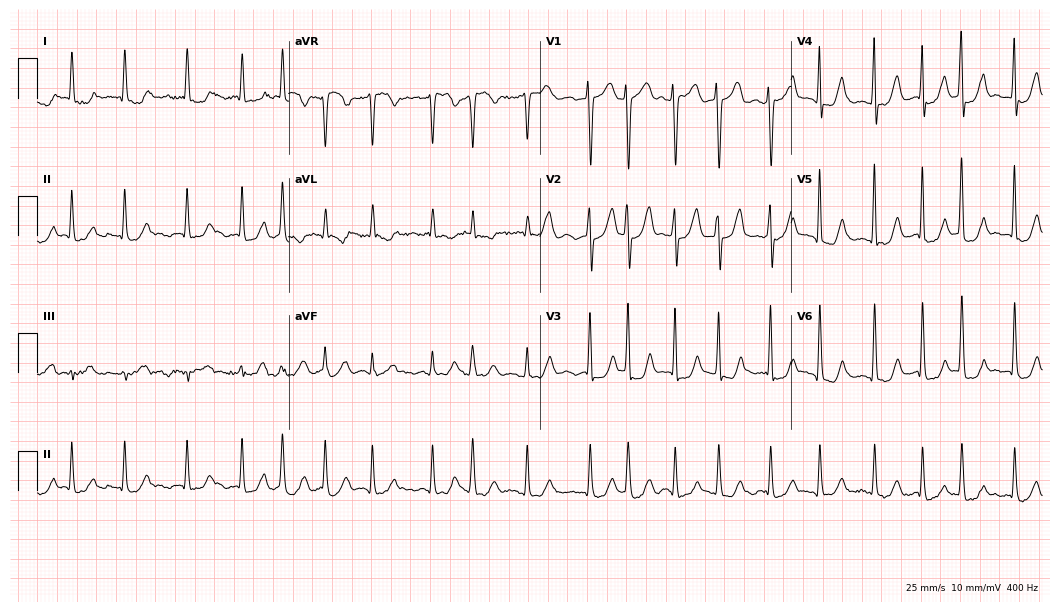
Standard 12-lead ECG recorded from a woman, 72 years old (10.2-second recording at 400 Hz). The tracing shows atrial fibrillation, sinus tachycardia (a sinus rate of 100 beats per minute or more).